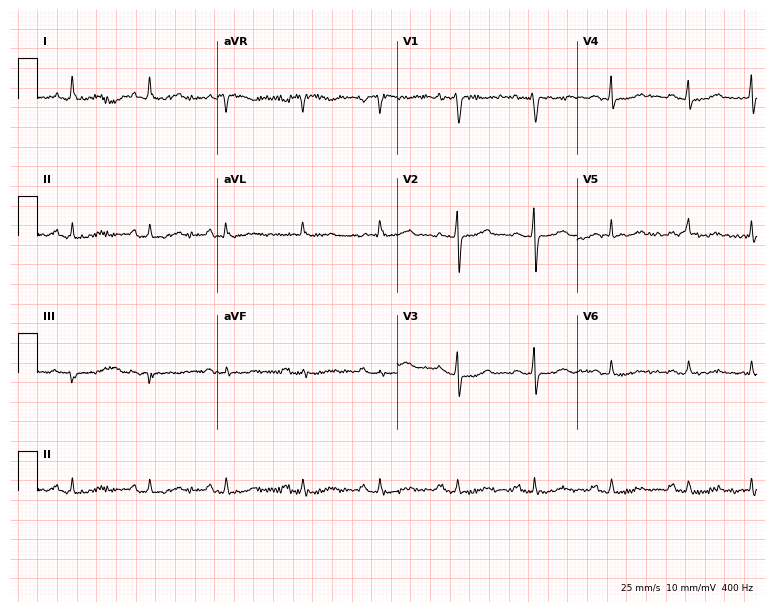
12-lead ECG from a female, 60 years old (7.3-second recording at 400 Hz). No first-degree AV block, right bundle branch block (RBBB), left bundle branch block (LBBB), sinus bradycardia, atrial fibrillation (AF) or sinus tachycardia recorded for this tracing.